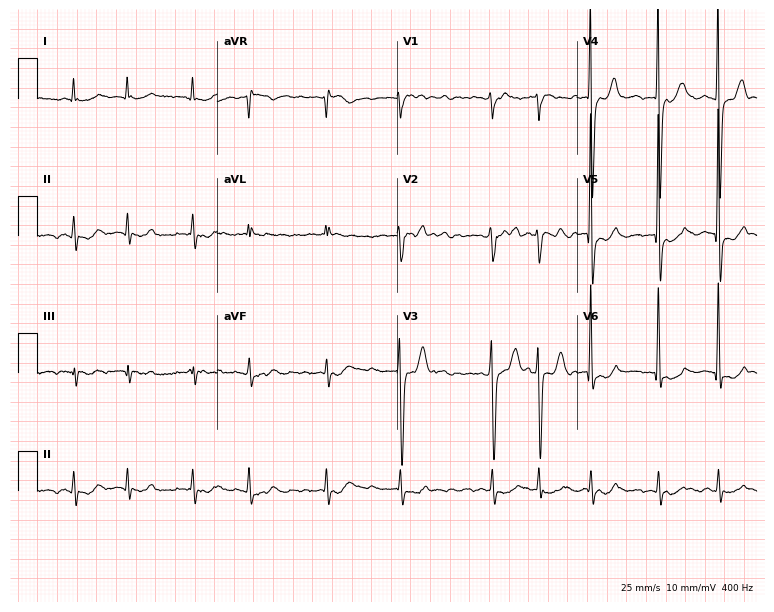
Electrocardiogram, a female, 83 years old. Interpretation includes atrial fibrillation.